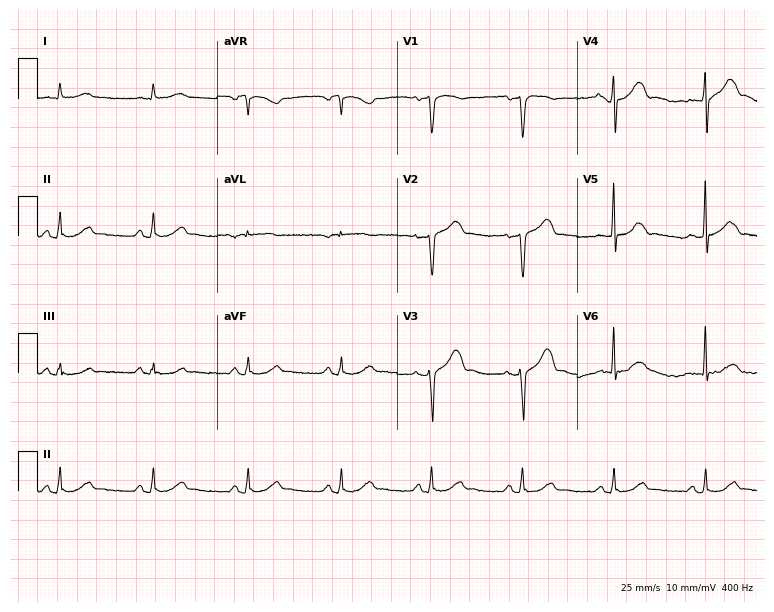
12-lead ECG (7.3-second recording at 400 Hz) from a male, 65 years old. Labelled as a normal ECG.